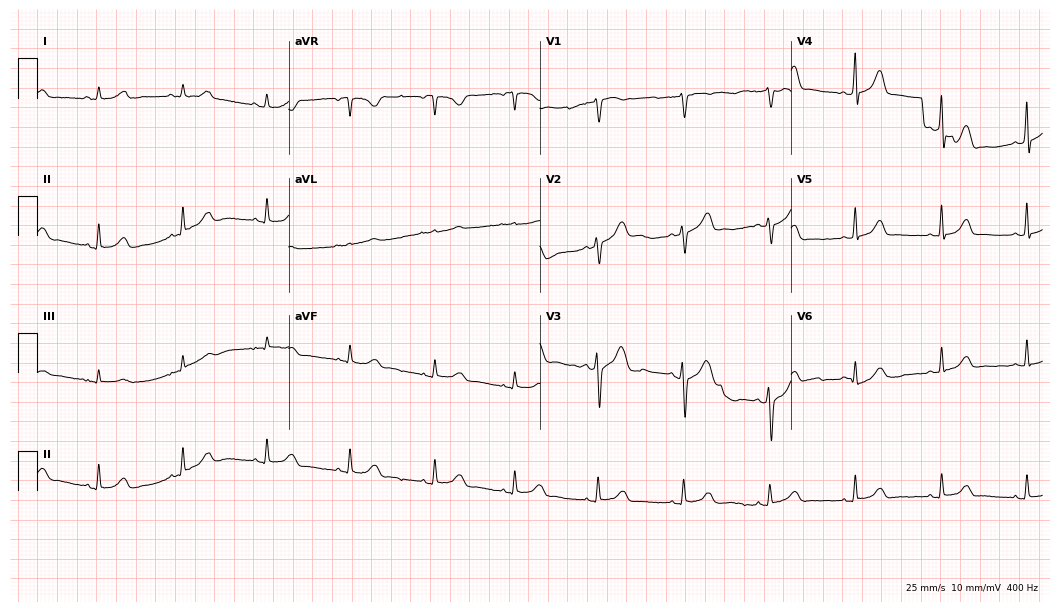
Electrocardiogram (10.2-second recording at 400 Hz), a 45-year-old female. Overall reading on record: normal ECG.